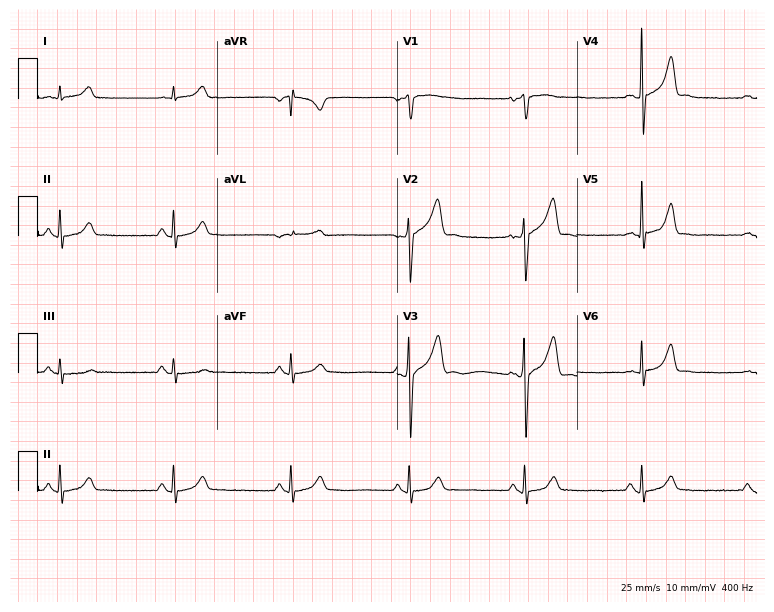
12-lead ECG (7.3-second recording at 400 Hz) from a 63-year-old man. Labelled as a normal ECG.